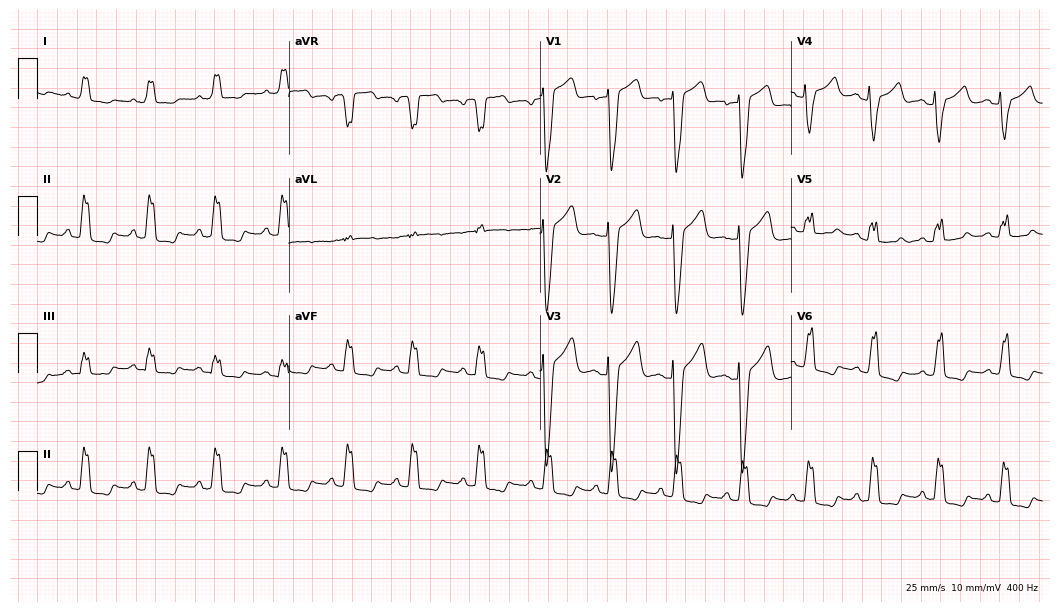
Electrocardiogram, a 71-year-old woman. Interpretation includes left bundle branch block (LBBB).